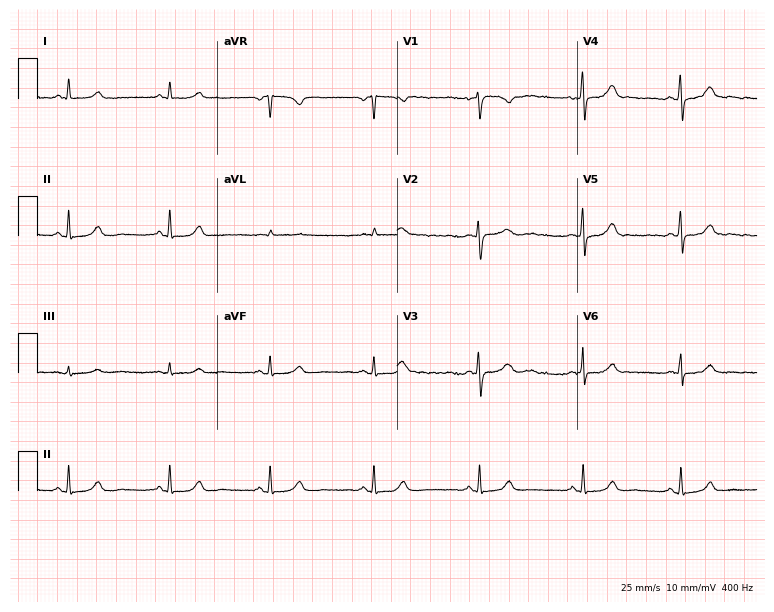
12-lead ECG from a female patient, 45 years old. Recorded interpretation: within normal limits.